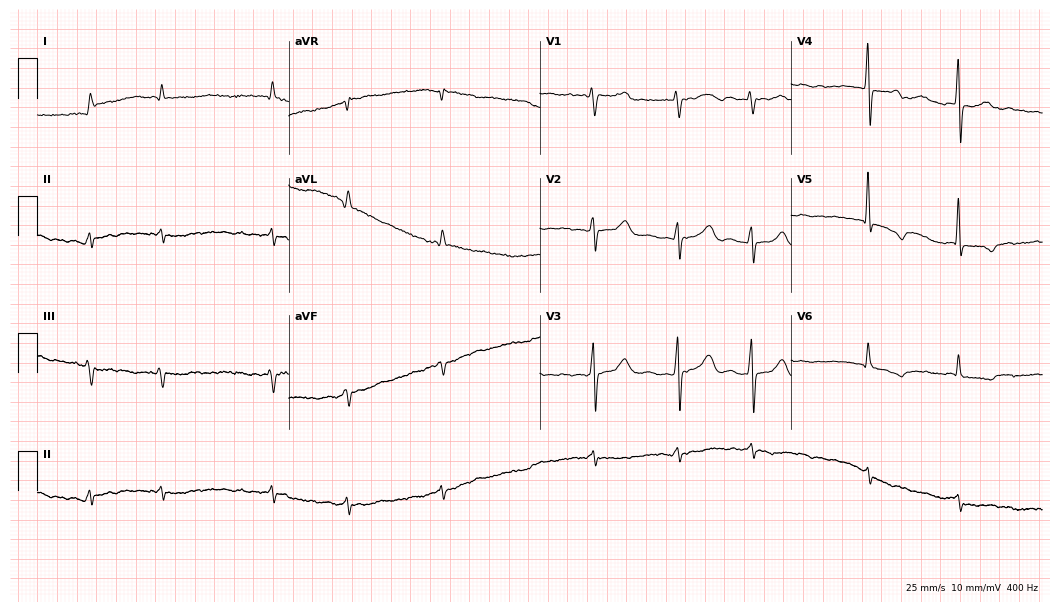
Electrocardiogram, a male, 78 years old. Interpretation includes atrial fibrillation (AF).